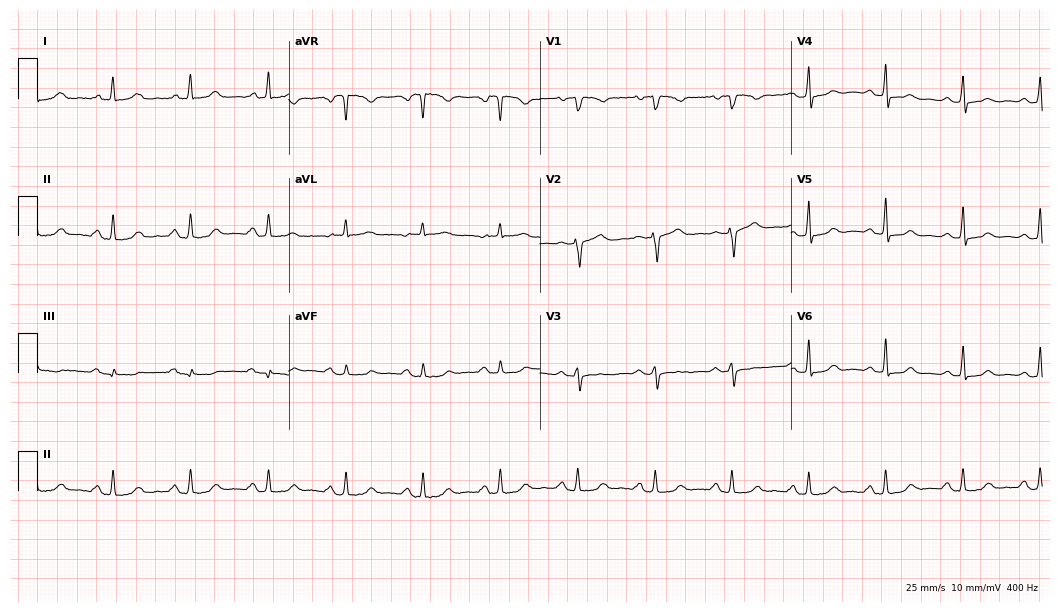
Resting 12-lead electrocardiogram. Patient: a 64-year-old female. Read as a normal ECG.